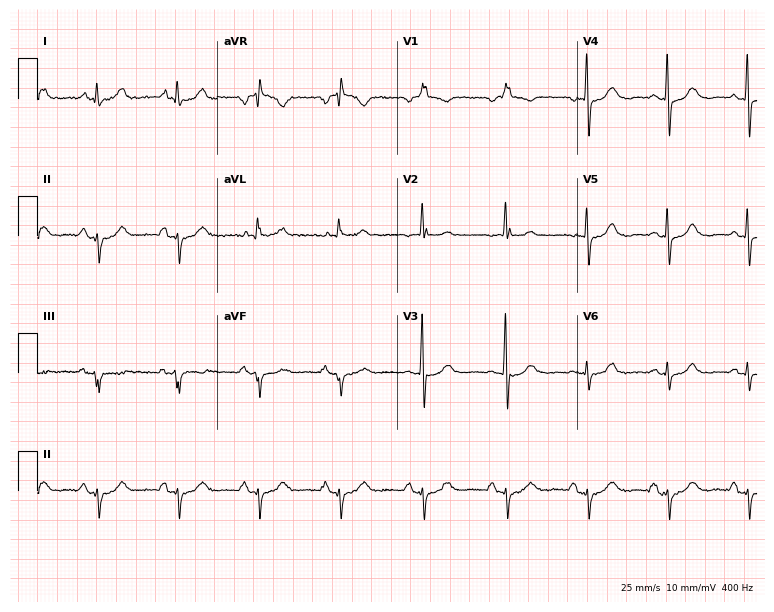
Standard 12-lead ECG recorded from a female, 84 years old. None of these six findings is recorded: first-degree AV block, right bundle branch block, left bundle branch block, sinus bradycardia, atrial fibrillation, sinus tachycardia.